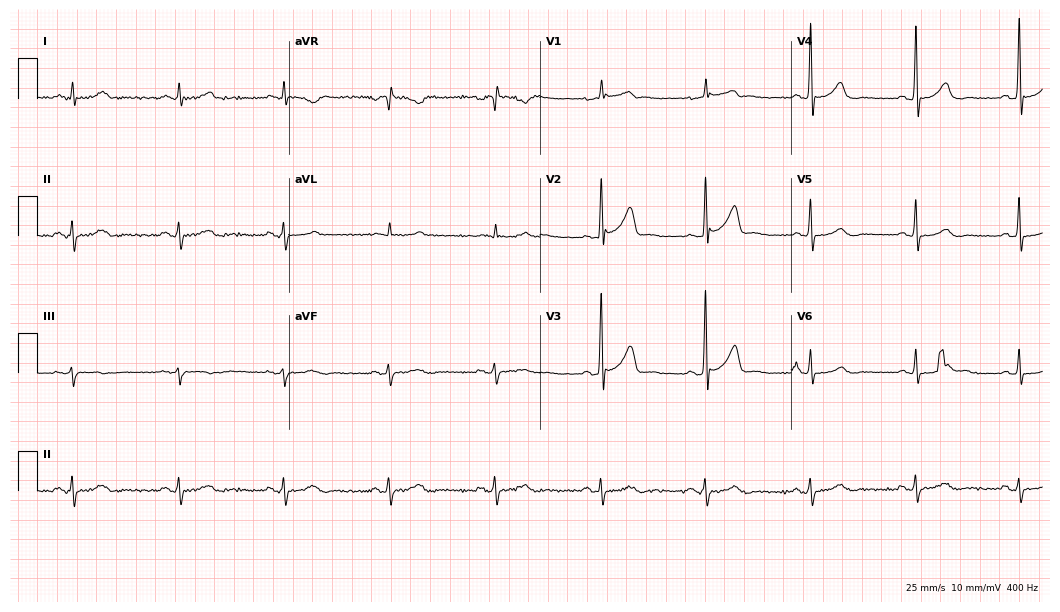
Resting 12-lead electrocardiogram (10.2-second recording at 400 Hz). Patient: a 62-year-old male. None of these six findings is recorded: first-degree AV block, right bundle branch block, left bundle branch block, sinus bradycardia, atrial fibrillation, sinus tachycardia. Only these six findings were labelled.